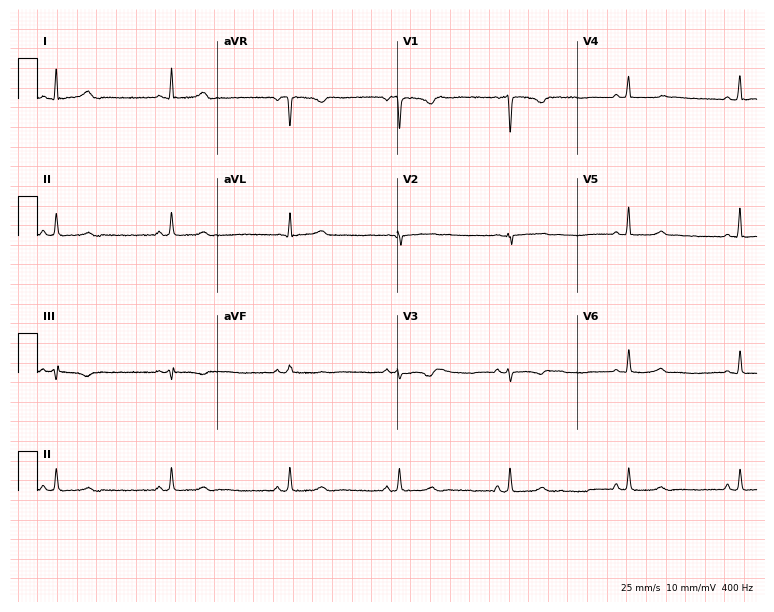
Resting 12-lead electrocardiogram. Patient: a 27-year-old female. None of these six findings is recorded: first-degree AV block, right bundle branch block, left bundle branch block, sinus bradycardia, atrial fibrillation, sinus tachycardia.